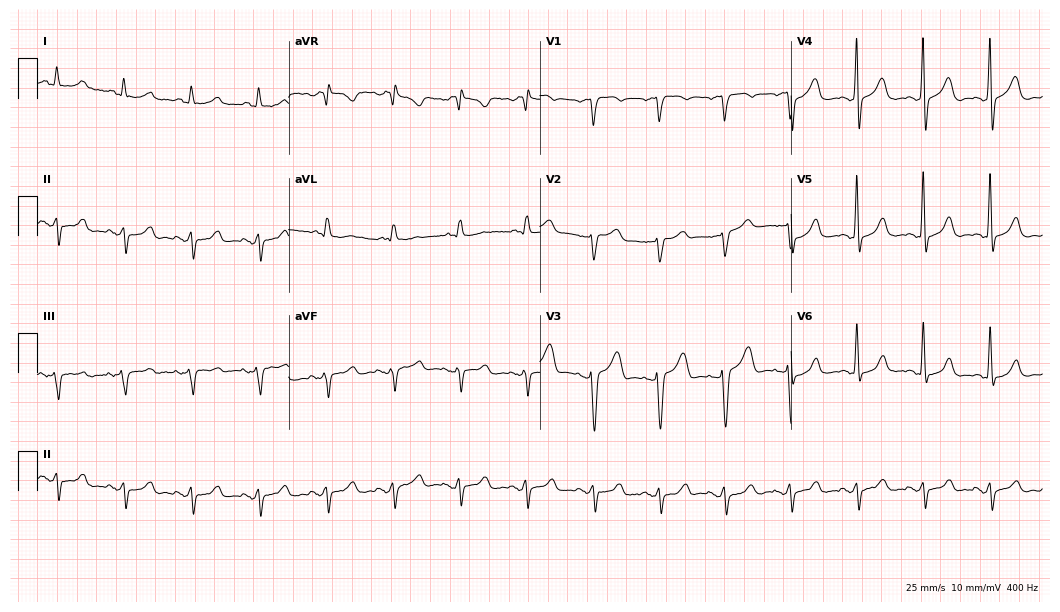
Resting 12-lead electrocardiogram (10.2-second recording at 400 Hz). Patient: a 52-year-old male. None of these six findings is recorded: first-degree AV block, right bundle branch block, left bundle branch block, sinus bradycardia, atrial fibrillation, sinus tachycardia.